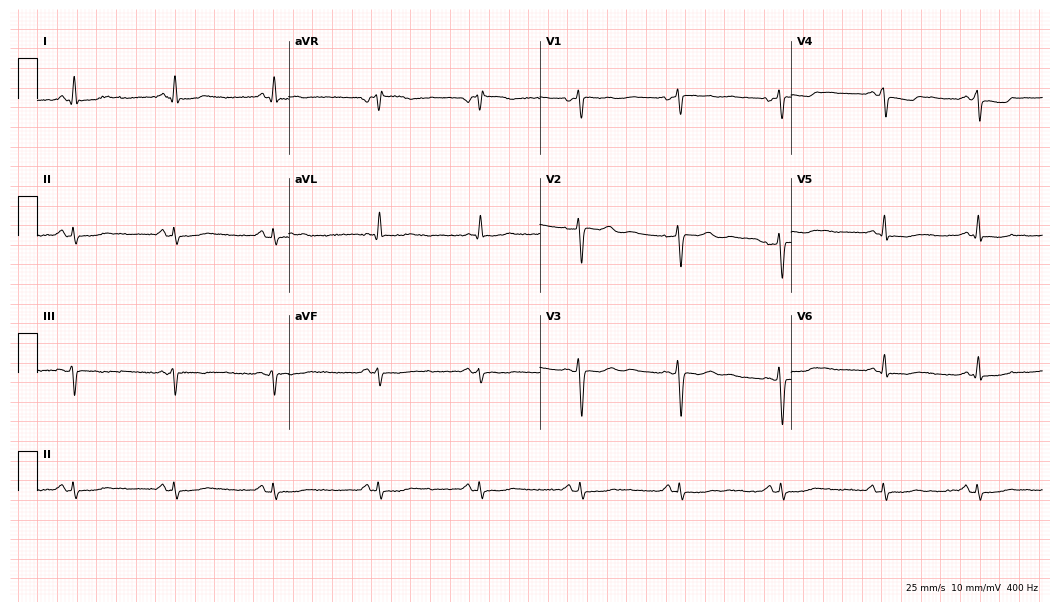
Electrocardiogram, a 56-year-old female patient. Overall reading on record: normal ECG.